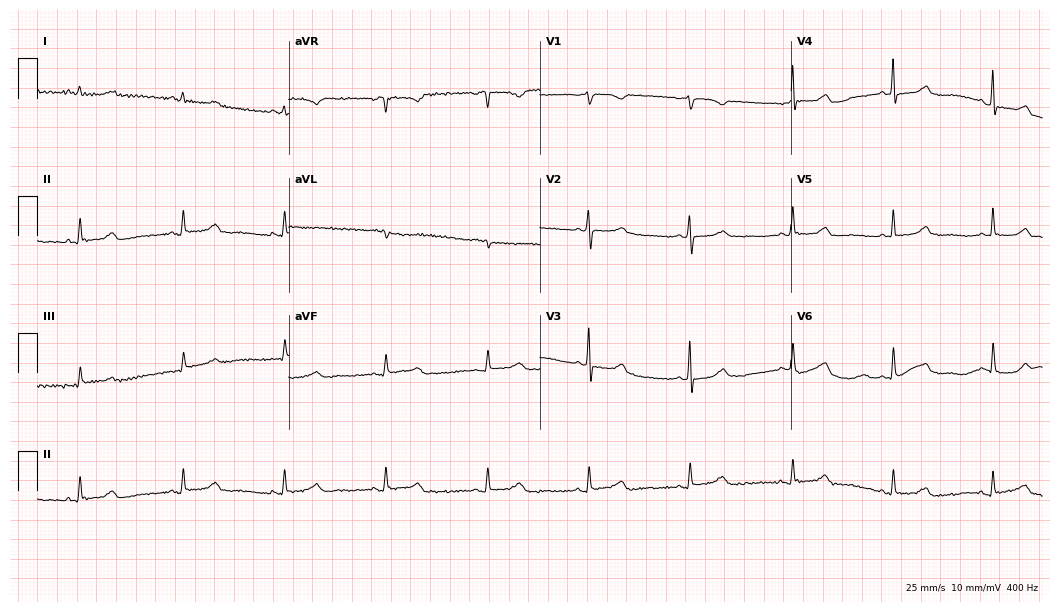
12-lead ECG from a woman, 66 years old (10.2-second recording at 400 Hz). Recorded interpretation: within normal limits.